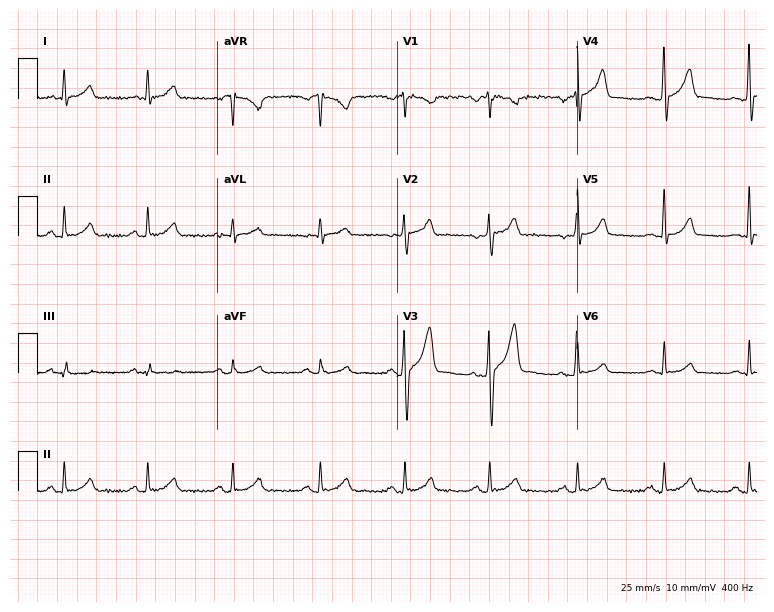
ECG (7.3-second recording at 400 Hz) — a male, 34 years old. Labelled as a normal ECG.